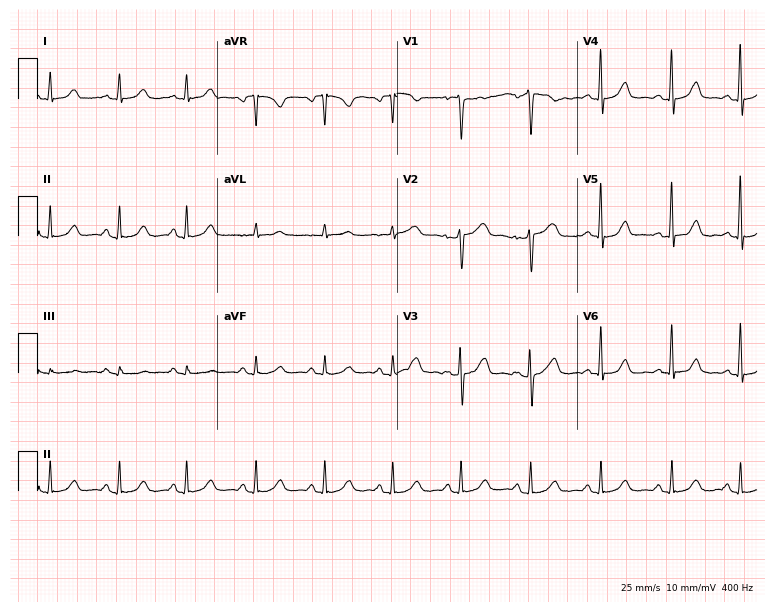
ECG — a 42-year-old woman. Screened for six findings — first-degree AV block, right bundle branch block (RBBB), left bundle branch block (LBBB), sinus bradycardia, atrial fibrillation (AF), sinus tachycardia — none is recorded.